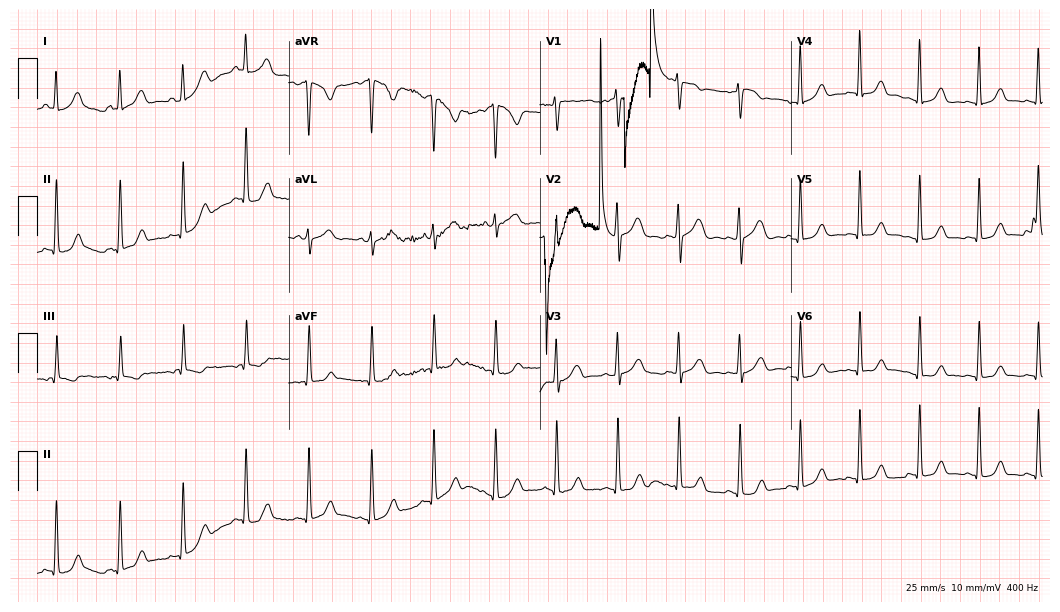
Standard 12-lead ECG recorded from a female, 39 years old. None of these six findings is recorded: first-degree AV block, right bundle branch block, left bundle branch block, sinus bradycardia, atrial fibrillation, sinus tachycardia. Findings outside these six are not listed.